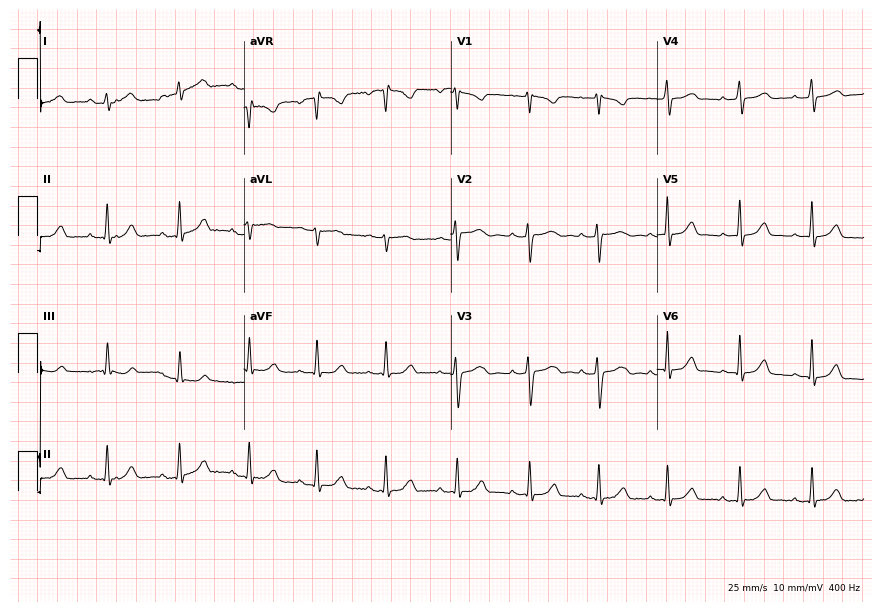
Standard 12-lead ECG recorded from a female patient, 21 years old (8.4-second recording at 400 Hz). Read as a normal ECG.